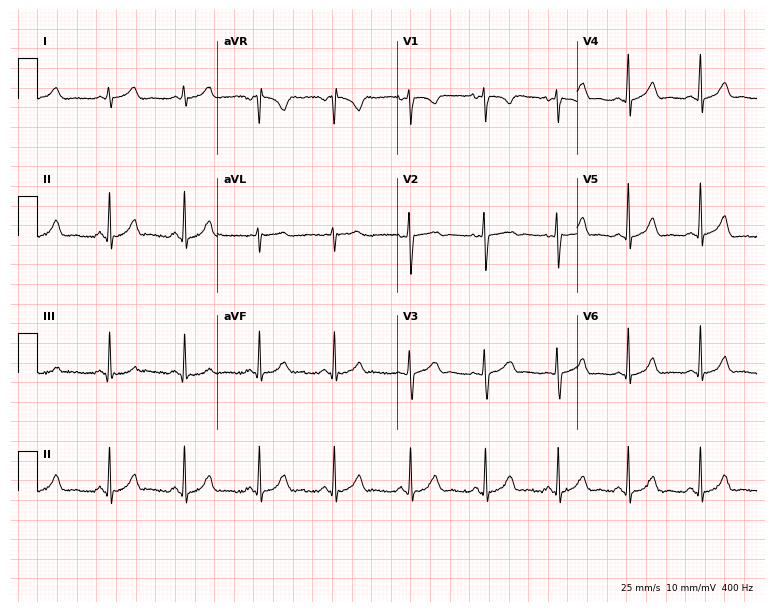
12-lead ECG from a female patient, 33 years old (7.3-second recording at 400 Hz). Recorded interpretation: within normal limits.